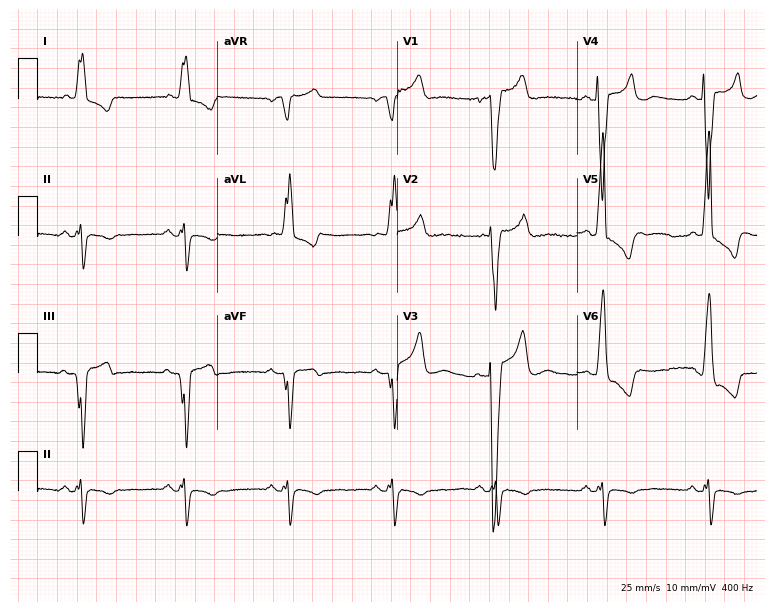
ECG (7.3-second recording at 400 Hz) — a woman, 78 years old. Findings include left bundle branch block (LBBB).